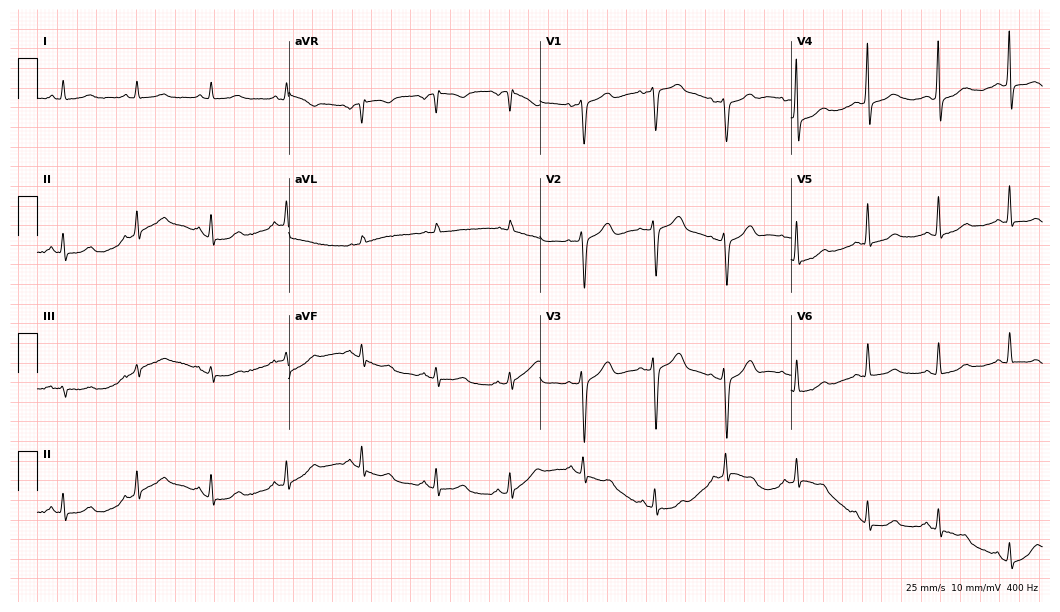
Standard 12-lead ECG recorded from a woman, 63 years old (10.2-second recording at 400 Hz). None of these six findings is recorded: first-degree AV block, right bundle branch block (RBBB), left bundle branch block (LBBB), sinus bradycardia, atrial fibrillation (AF), sinus tachycardia.